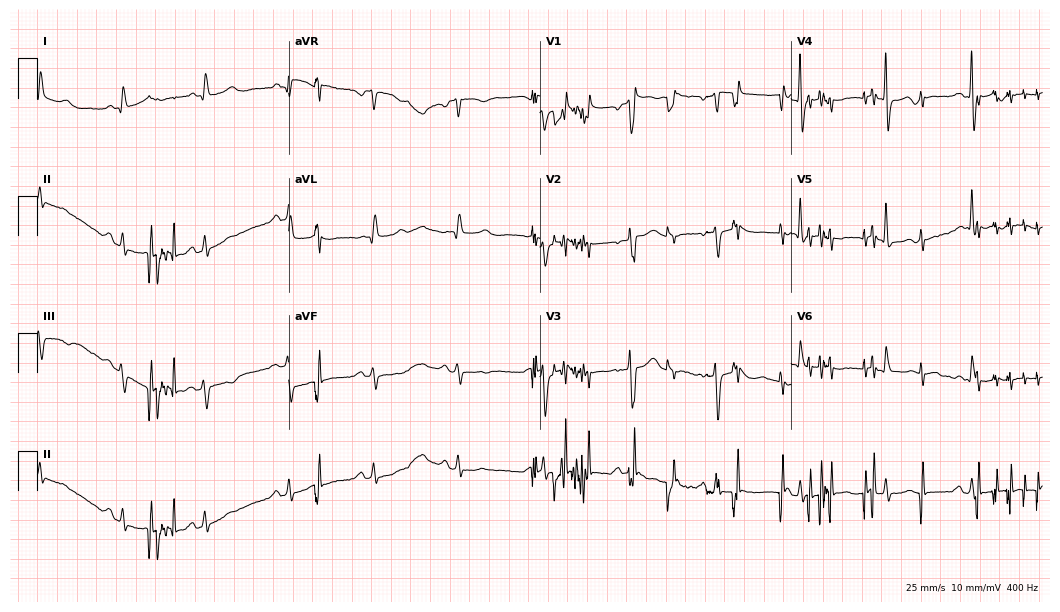
Resting 12-lead electrocardiogram (10.2-second recording at 400 Hz). Patient: a man, 55 years old. None of these six findings is recorded: first-degree AV block, right bundle branch block, left bundle branch block, sinus bradycardia, atrial fibrillation, sinus tachycardia. Findings outside these six are not listed.